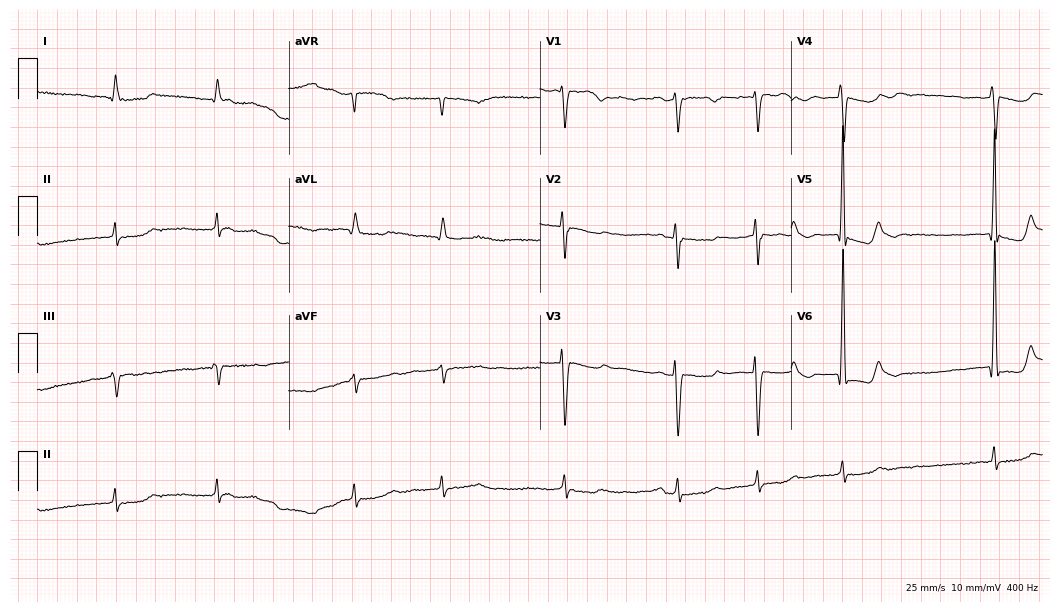
ECG (10.2-second recording at 400 Hz) — a male, 84 years old. Findings include atrial fibrillation (AF).